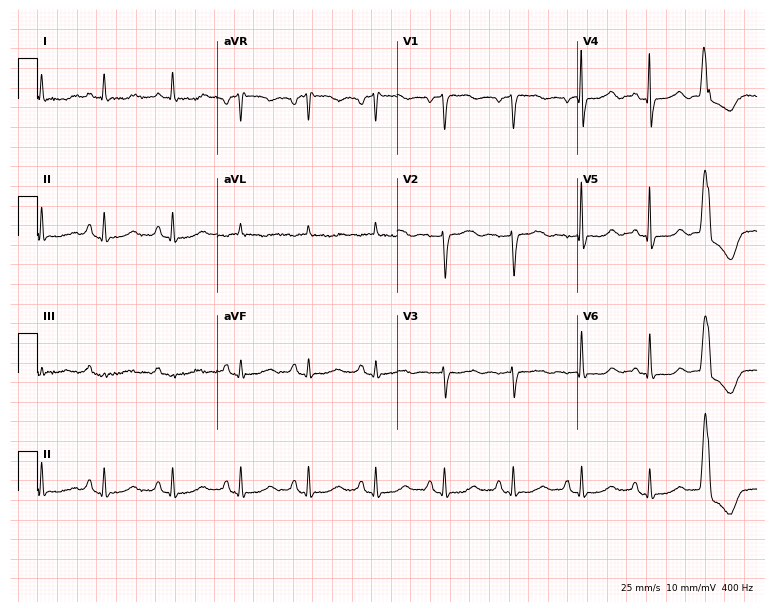
ECG (7.3-second recording at 400 Hz) — a female patient, 84 years old. Screened for six findings — first-degree AV block, right bundle branch block, left bundle branch block, sinus bradycardia, atrial fibrillation, sinus tachycardia — none is recorded. Other findings, if any, are not listed.